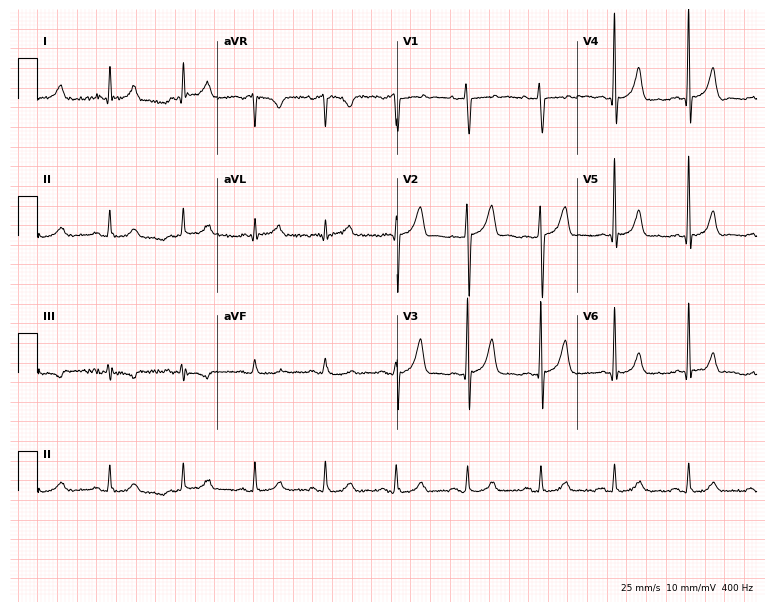
Electrocardiogram, a male patient, 61 years old. Of the six screened findings (first-degree AV block, right bundle branch block, left bundle branch block, sinus bradycardia, atrial fibrillation, sinus tachycardia), none is recorded. Findings outside these six are not listed.